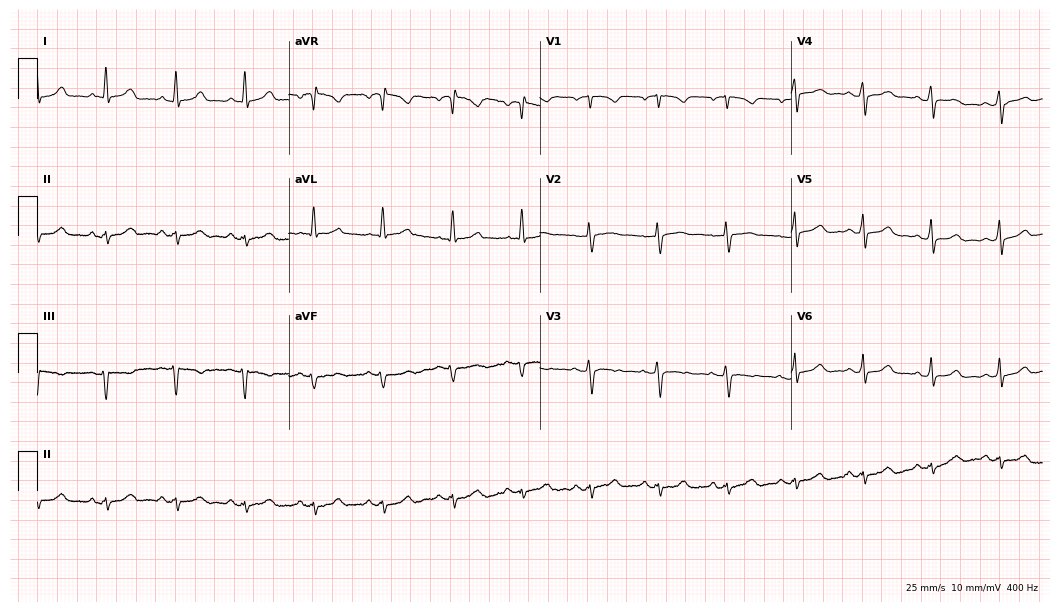
12-lead ECG from a 58-year-old woman. No first-degree AV block, right bundle branch block, left bundle branch block, sinus bradycardia, atrial fibrillation or sinus tachycardia recorded for this tracing. Only these six findings were labelled.